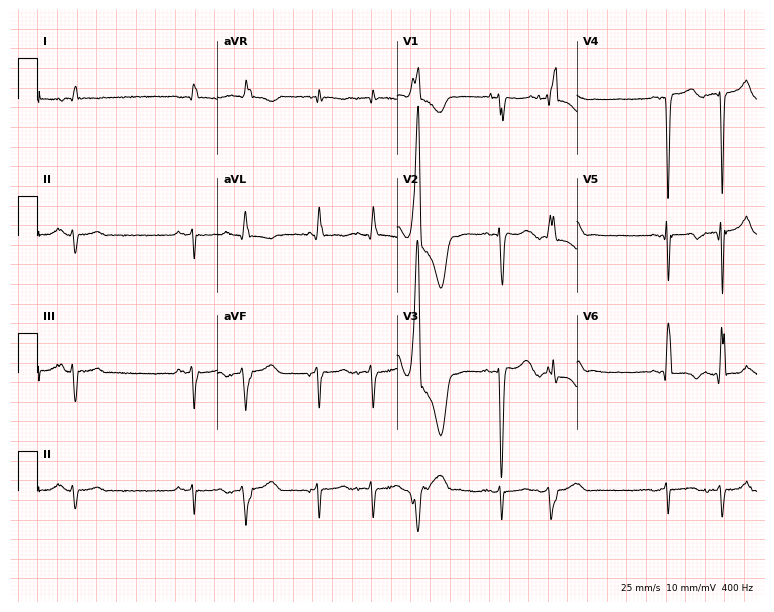
12-lead ECG from a male patient, 81 years old. Screened for six findings — first-degree AV block, right bundle branch block, left bundle branch block, sinus bradycardia, atrial fibrillation, sinus tachycardia — none is recorded.